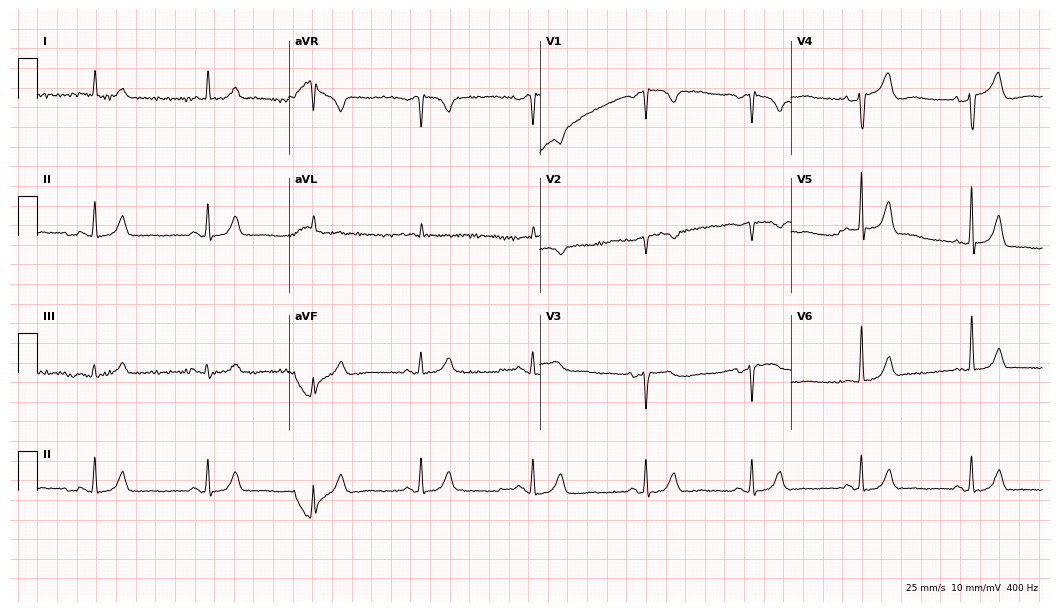
Resting 12-lead electrocardiogram (10.2-second recording at 400 Hz). Patient: an 86-year-old male. None of these six findings is recorded: first-degree AV block, right bundle branch block, left bundle branch block, sinus bradycardia, atrial fibrillation, sinus tachycardia. Only these six findings were labelled.